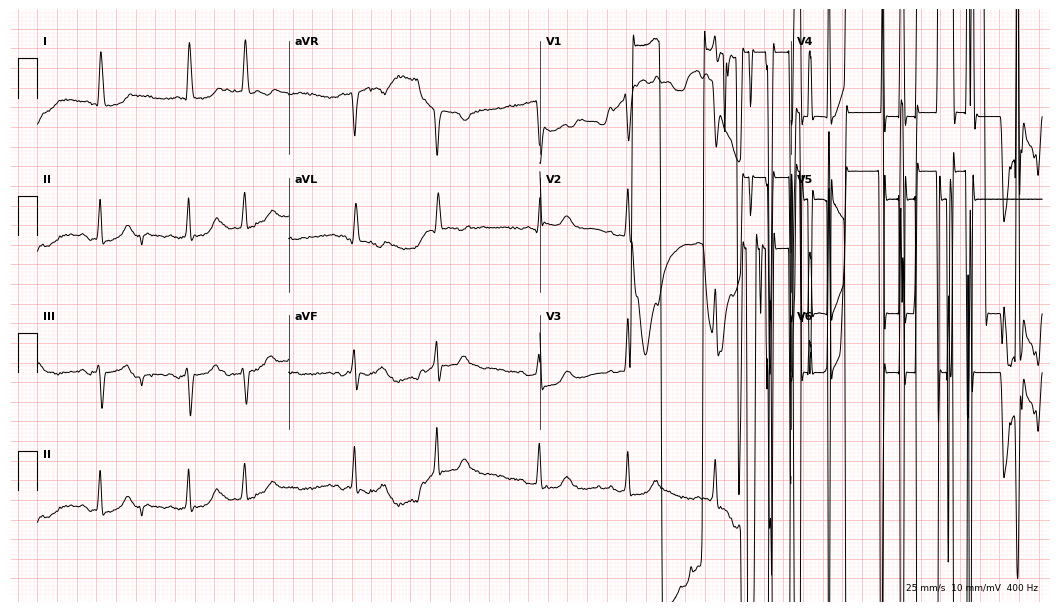
12-lead ECG (10.2-second recording at 400 Hz) from a 77-year-old female patient. Screened for six findings — first-degree AV block, right bundle branch block, left bundle branch block, sinus bradycardia, atrial fibrillation, sinus tachycardia — none is recorded. Only these six findings were labelled.